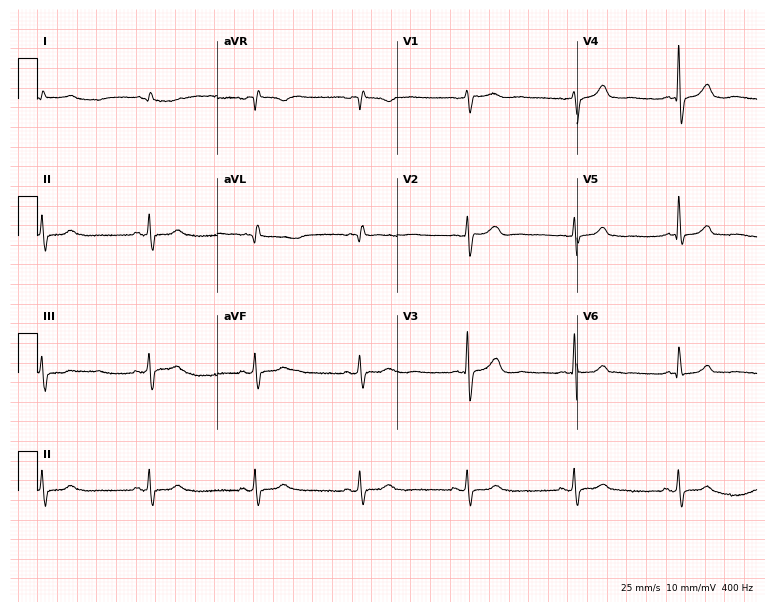
Electrocardiogram (7.3-second recording at 400 Hz), an 85-year-old man. Overall reading on record: normal ECG.